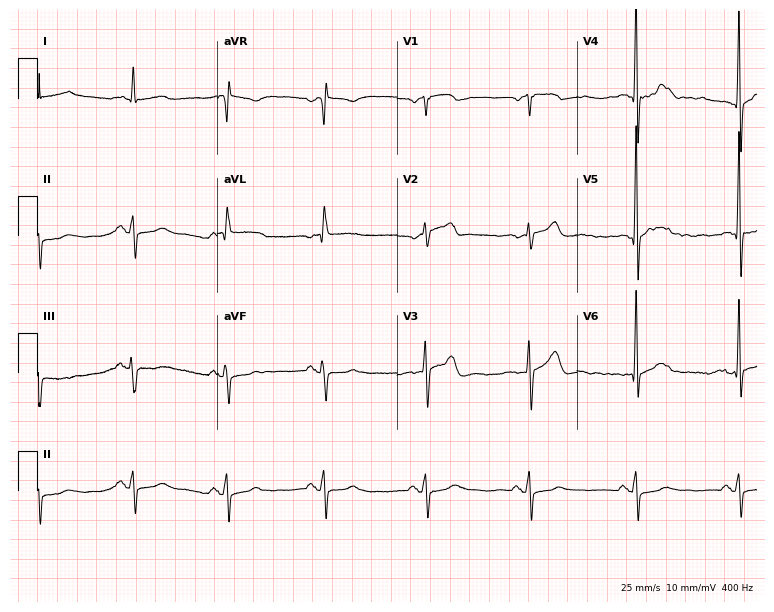
12-lead ECG from a male, 62 years old (7.3-second recording at 400 Hz). No first-degree AV block, right bundle branch block, left bundle branch block, sinus bradycardia, atrial fibrillation or sinus tachycardia recorded for this tracing.